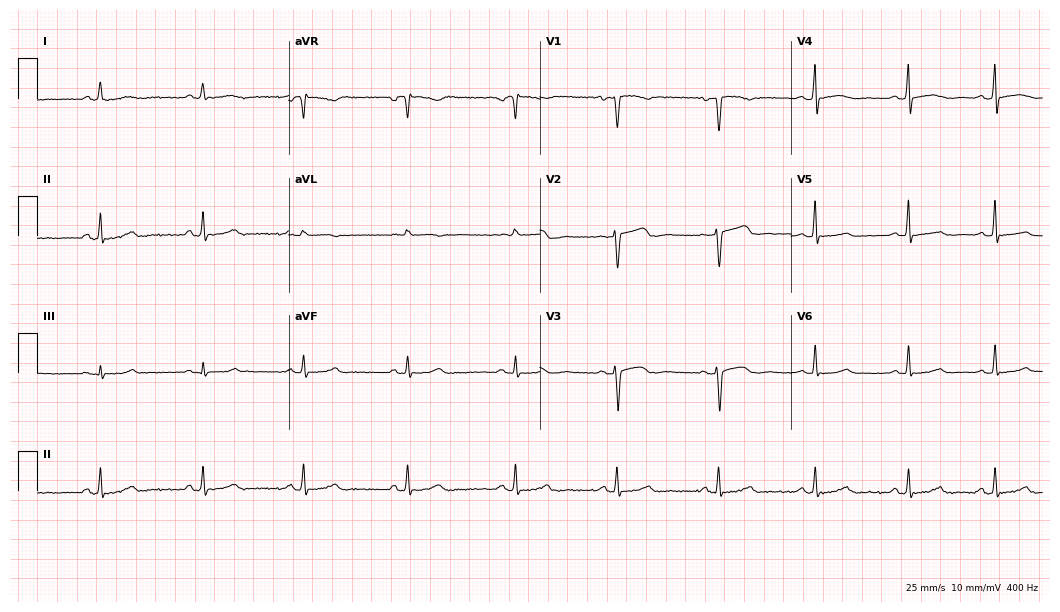
ECG (10.2-second recording at 400 Hz) — a female patient, 44 years old. Labelled as a normal ECG.